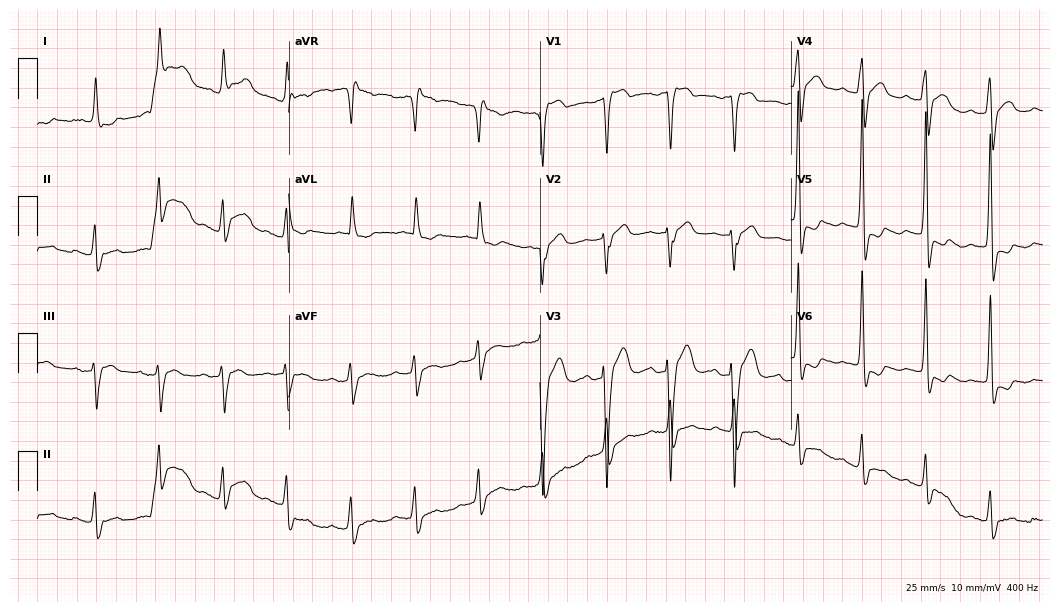
Standard 12-lead ECG recorded from a woman, 83 years old (10.2-second recording at 400 Hz). None of these six findings is recorded: first-degree AV block, right bundle branch block, left bundle branch block, sinus bradycardia, atrial fibrillation, sinus tachycardia.